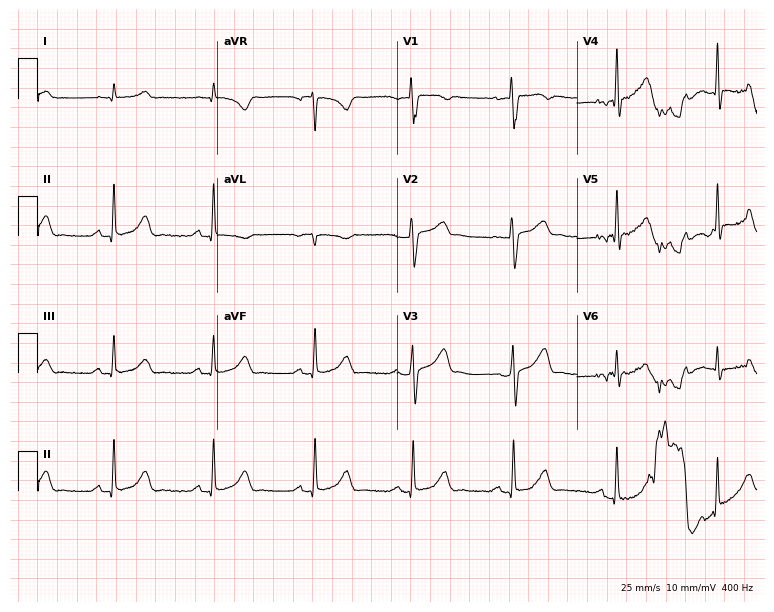
Standard 12-lead ECG recorded from a 46-year-old male patient (7.3-second recording at 400 Hz). Read as a normal ECG.